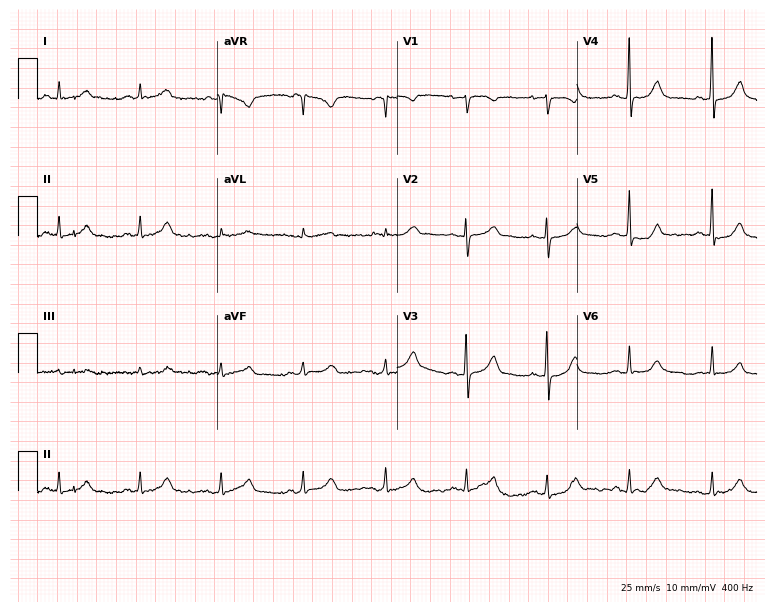
ECG — a female, 46 years old. Labelled as a normal ECG.